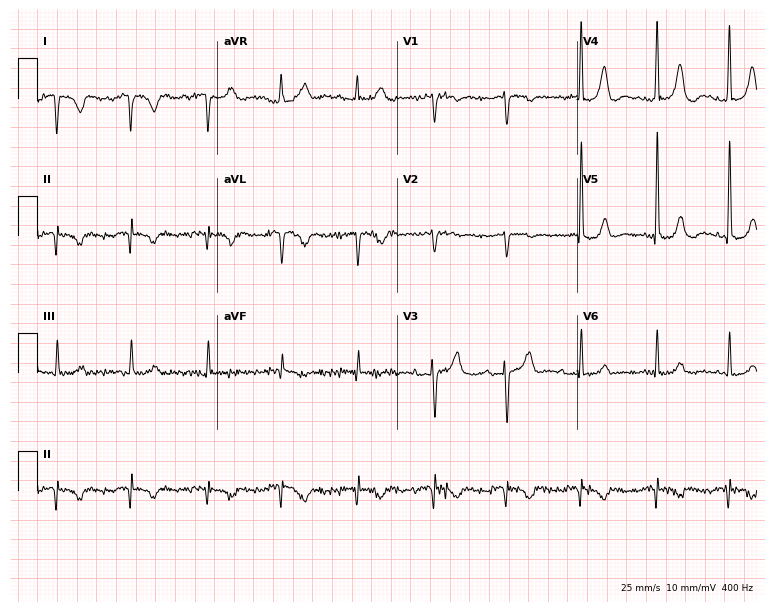
Standard 12-lead ECG recorded from an 80-year-old female (7.3-second recording at 400 Hz). Read as a normal ECG.